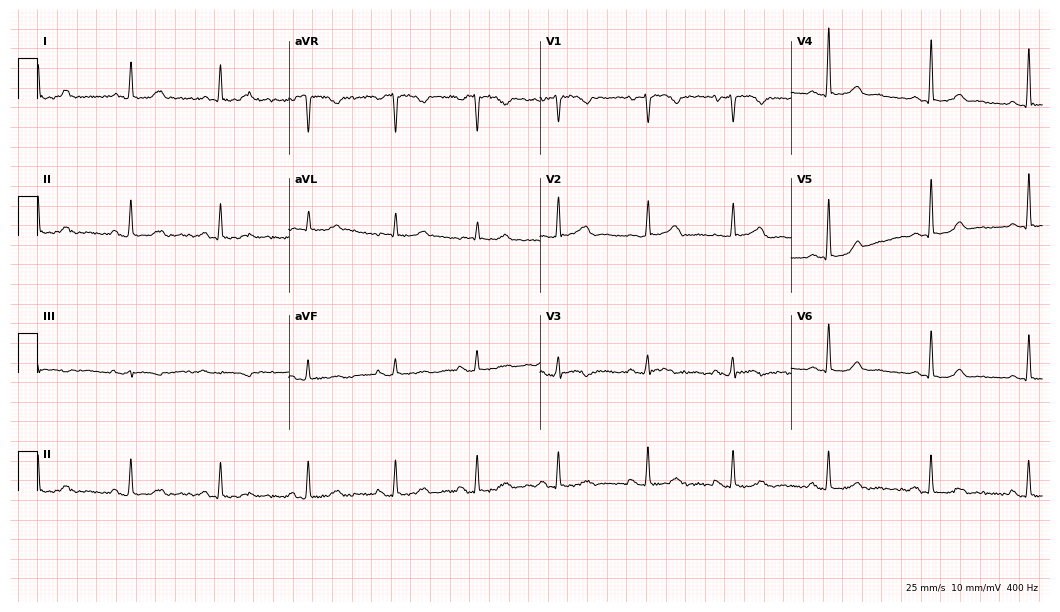
ECG — a 53-year-old female. Screened for six findings — first-degree AV block, right bundle branch block, left bundle branch block, sinus bradycardia, atrial fibrillation, sinus tachycardia — none is recorded.